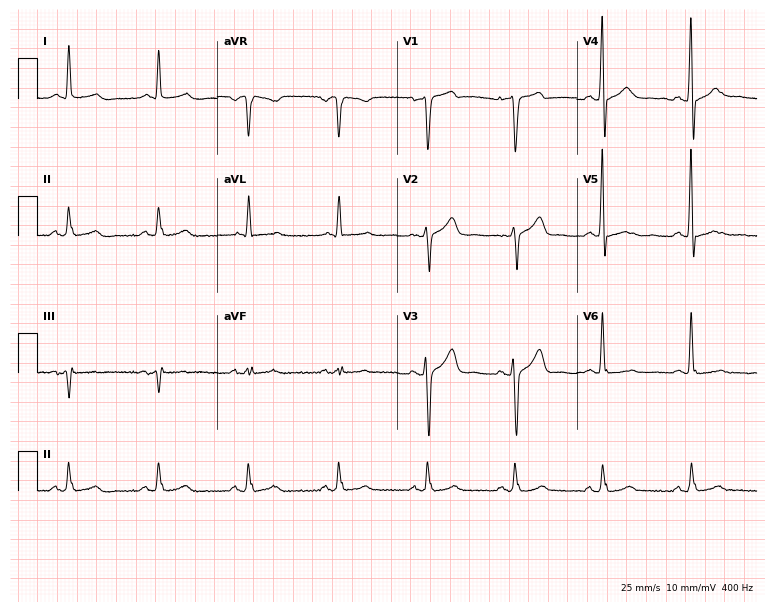
Electrocardiogram, a 64-year-old male patient. Overall reading on record: normal ECG.